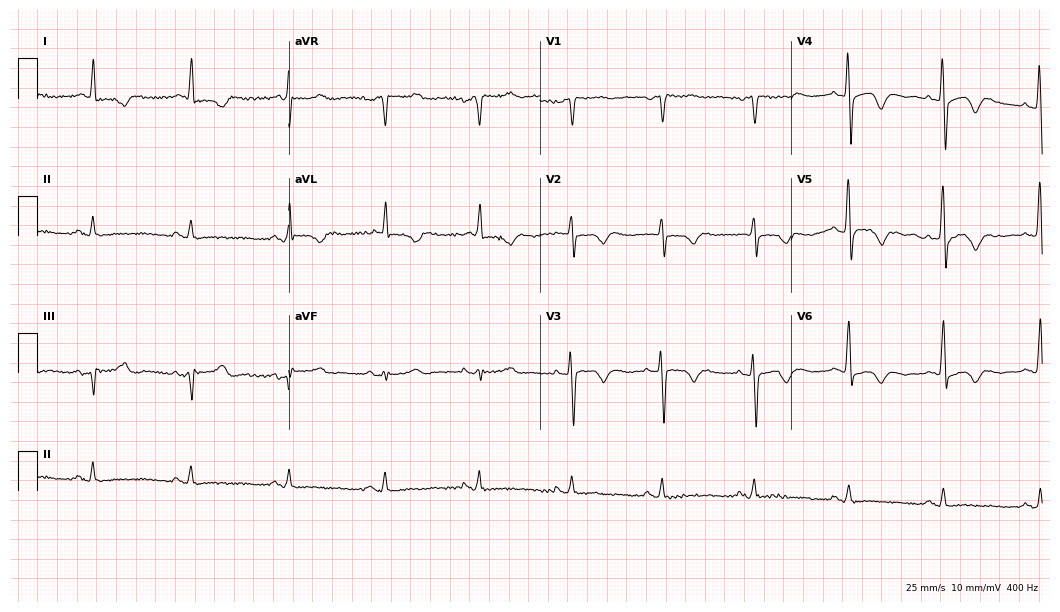
12-lead ECG from a 73-year-old male. Labelled as a normal ECG.